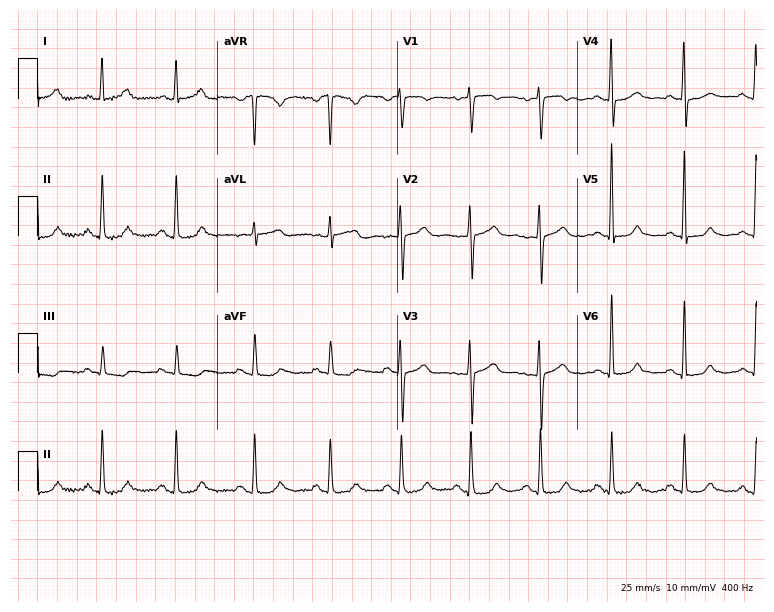
Electrocardiogram, a 64-year-old female patient. Overall reading on record: normal ECG.